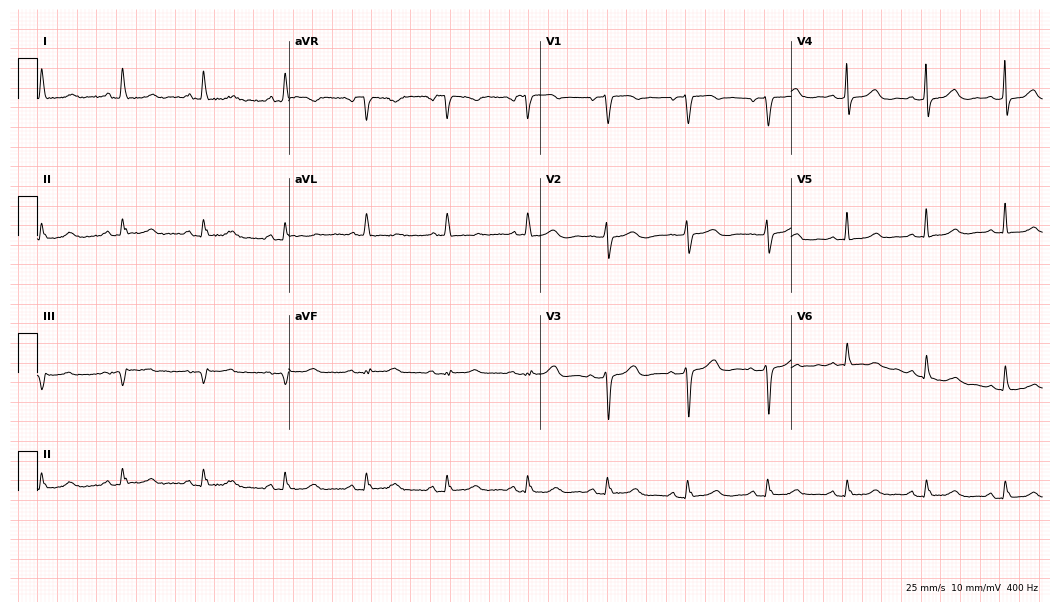
12-lead ECG from a 75-year-old woman (10.2-second recording at 400 Hz). No first-degree AV block, right bundle branch block, left bundle branch block, sinus bradycardia, atrial fibrillation or sinus tachycardia recorded for this tracing. Only these six findings were labelled.